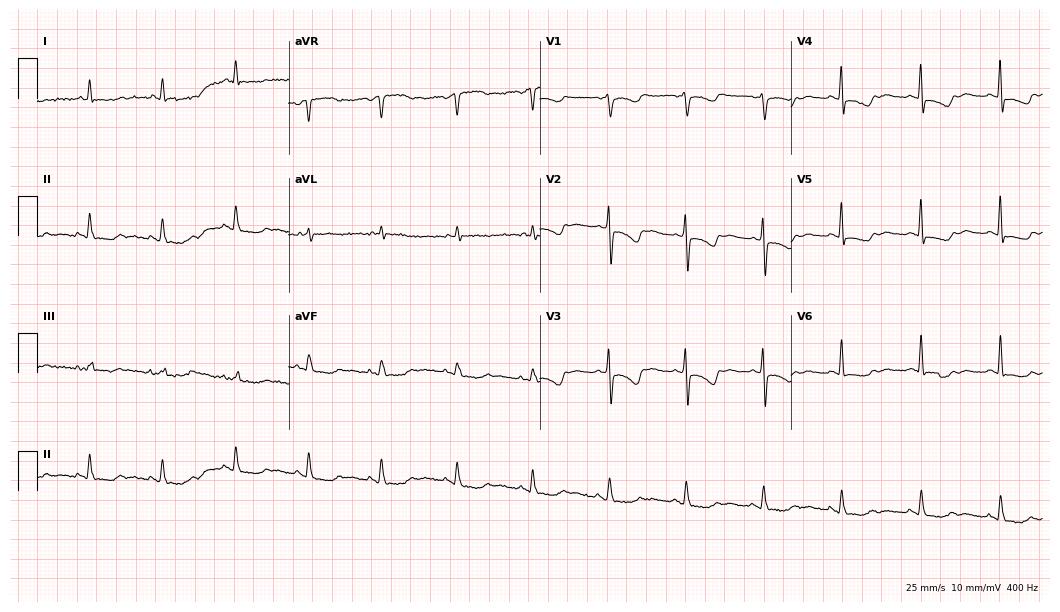
Resting 12-lead electrocardiogram. Patient: a female, 77 years old. None of these six findings is recorded: first-degree AV block, right bundle branch block, left bundle branch block, sinus bradycardia, atrial fibrillation, sinus tachycardia. Findings outside these six are not listed.